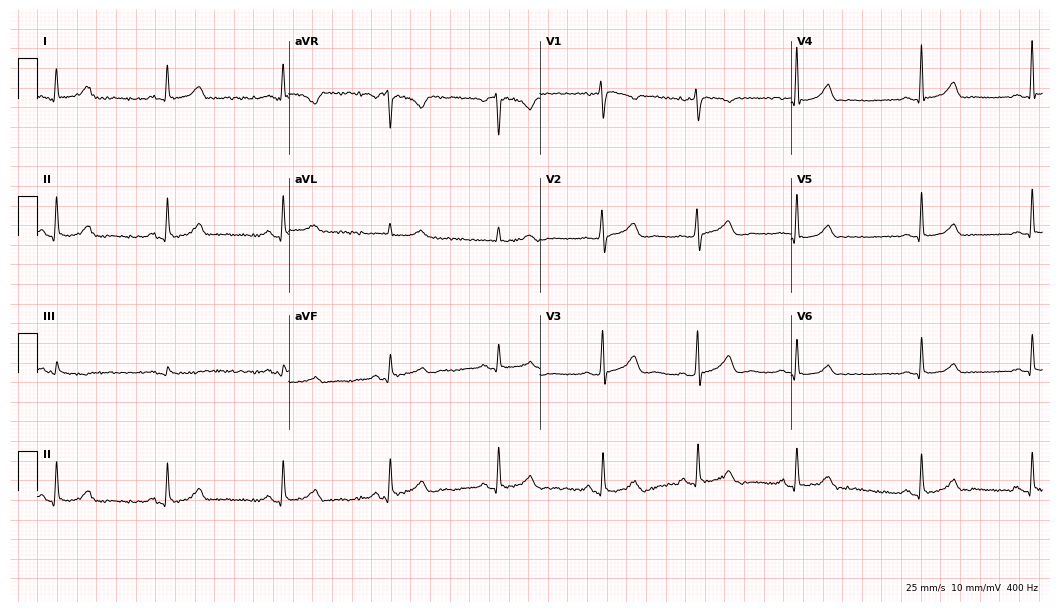
ECG — a woman, 42 years old. Screened for six findings — first-degree AV block, right bundle branch block (RBBB), left bundle branch block (LBBB), sinus bradycardia, atrial fibrillation (AF), sinus tachycardia — none is recorded.